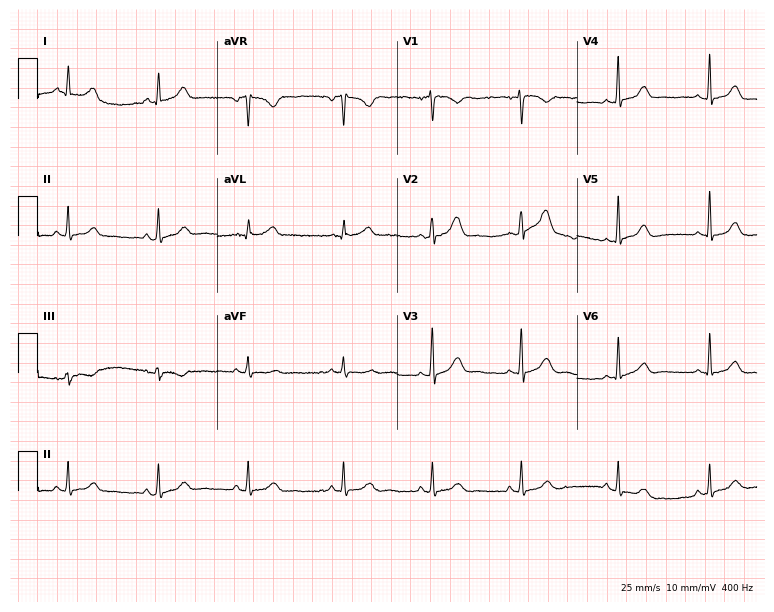
12-lead ECG from a female patient, 24 years old (7.3-second recording at 400 Hz). Recorded interpretation: within normal limits.